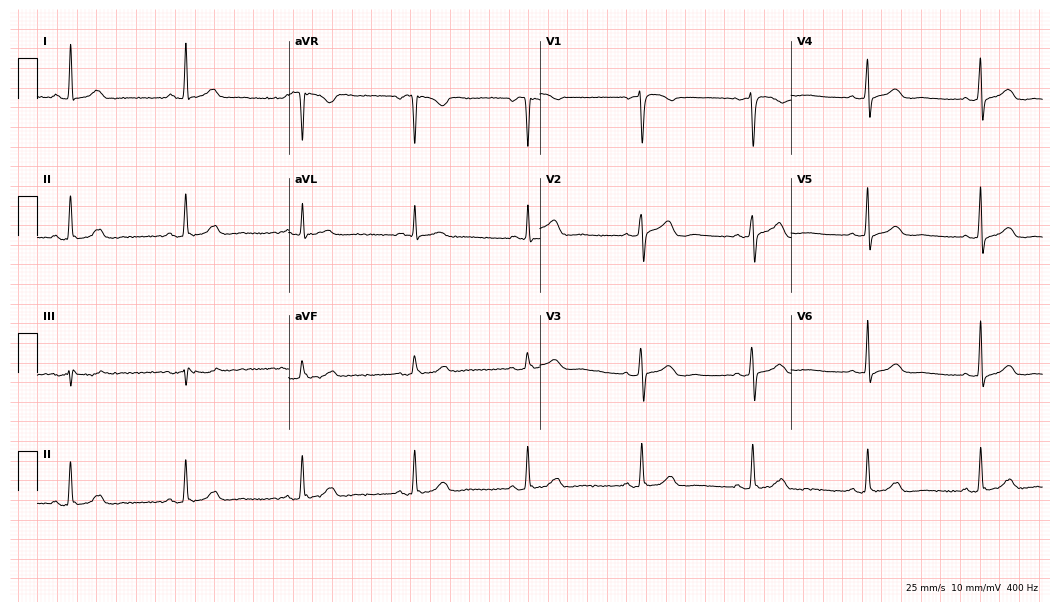
Resting 12-lead electrocardiogram (10.2-second recording at 400 Hz). Patient: a 59-year-old female. None of these six findings is recorded: first-degree AV block, right bundle branch block, left bundle branch block, sinus bradycardia, atrial fibrillation, sinus tachycardia.